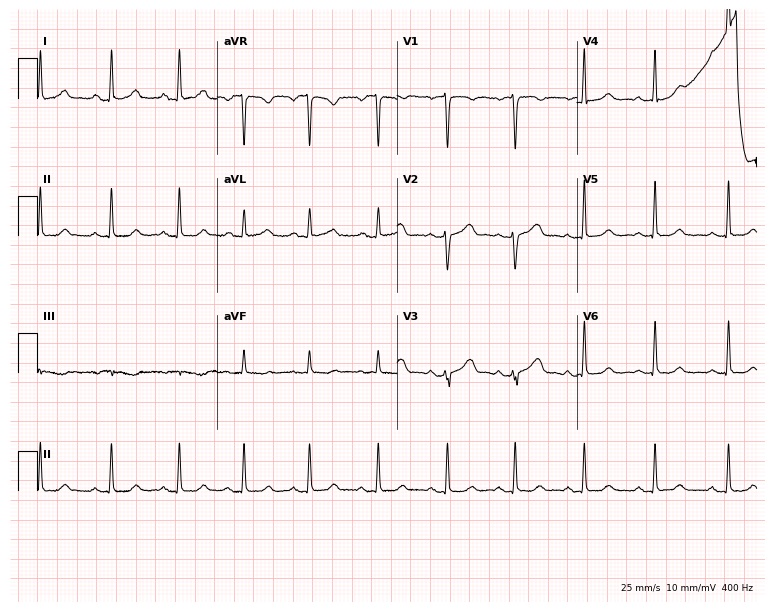
Electrocardiogram (7.3-second recording at 400 Hz), a 42-year-old female. Overall reading on record: normal ECG.